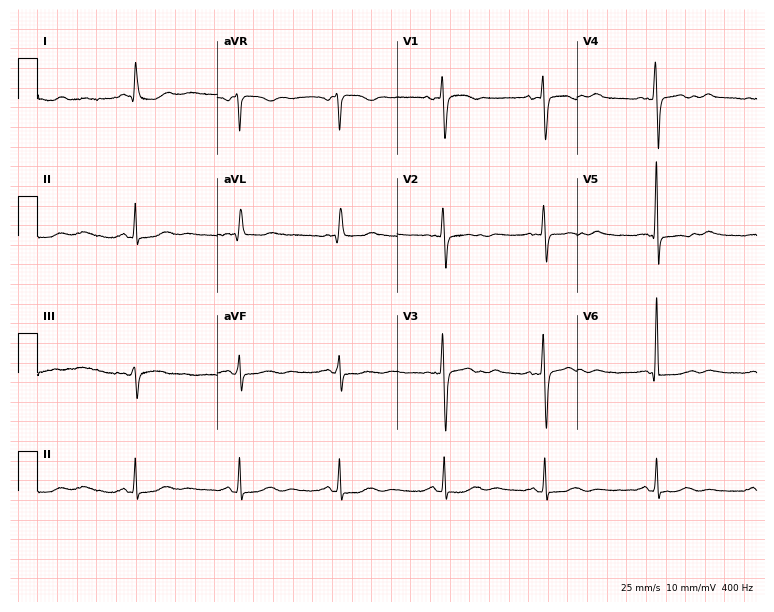
Resting 12-lead electrocardiogram (7.3-second recording at 400 Hz). Patient: a woman, 64 years old. None of these six findings is recorded: first-degree AV block, right bundle branch block, left bundle branch block, sinus bradycardia, atrial fibrillation, sinus tachycardia.